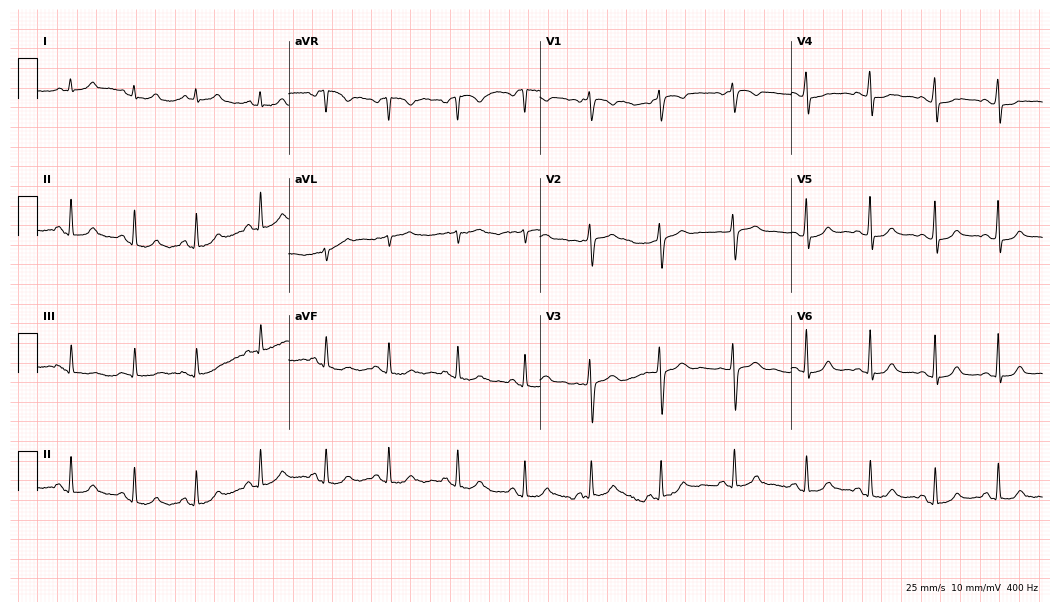
Electrocardiogram, a female patient, 24 years old. Overall reading on record: normal ECG.